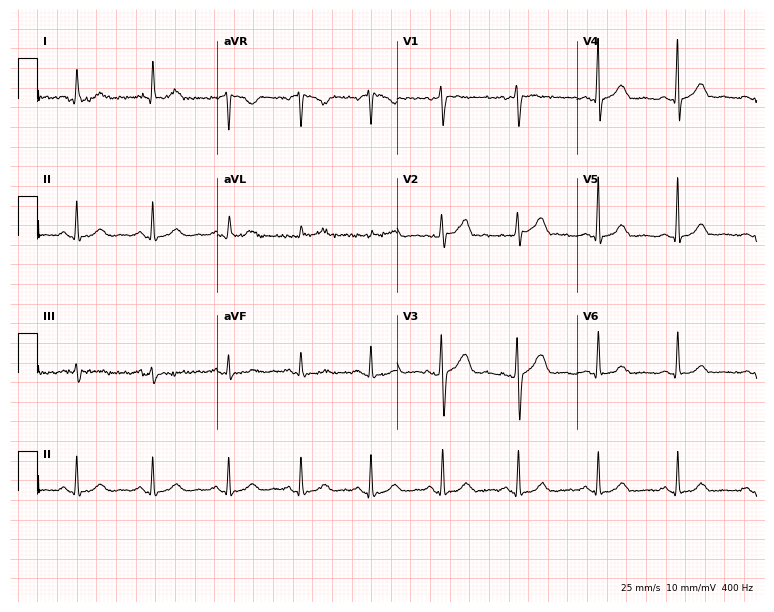
12-lead ECG from a woman, 62 years old. Labelled as a normal ECG.